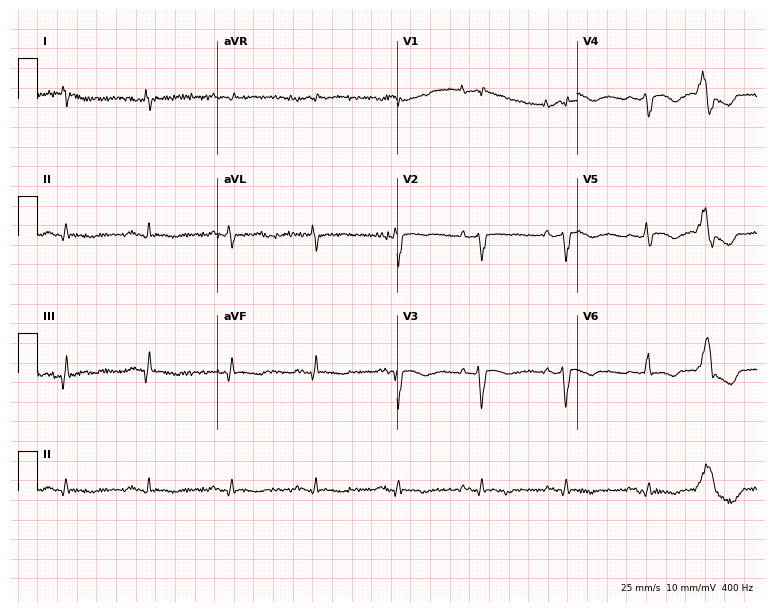
12-lead ECG from a male patient, 37 years old (7.3-second recording at 400 Hz). No first-degree AV block, right bundle branch block (RBBB), left bundle branch block (LBBB), sinus bradycardia, atrial fibrillation (AF) or sinus tachycardia recorded for this tracing. Only these six findings were labelled.